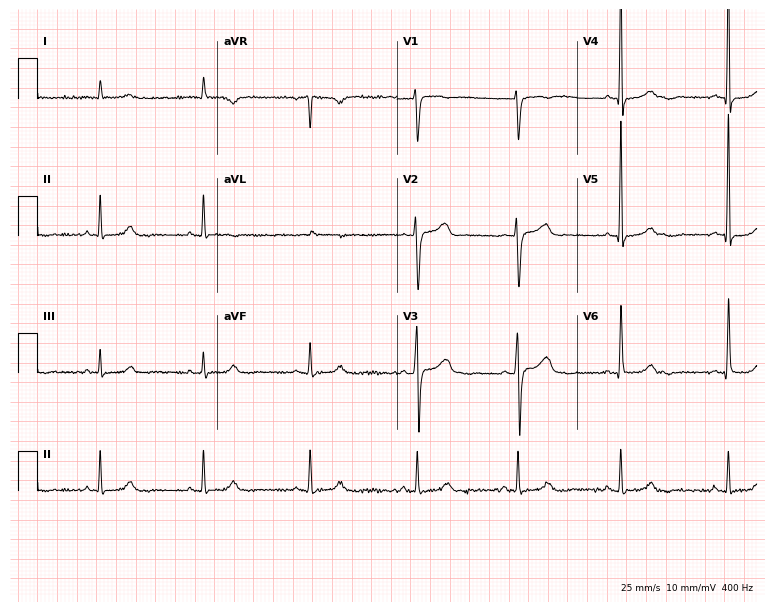
ECG (7.3-second recording at 400 Hz) — a 58-year-old female patient. Screened for six findings — first-degree AV block, right bundle branch block (RBBB), left bundle branch block (LBBB), sinus bradycardia, atrial fibrillation (AF), sinus tachycardia — none is recorded.